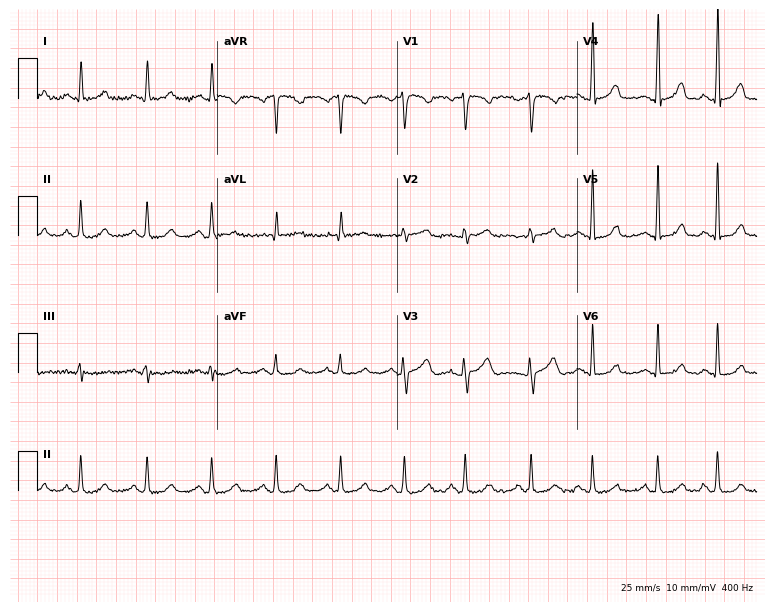
Standard 12-lead ECG recorded from a 30-year-old female patient. None of these six findings is recorded: first-degree AV block, right bundle branch block, left bundle branch block, sinus bradycardia, atrial fibrillation, sinus tachycardia. Only these six findings were labelled.